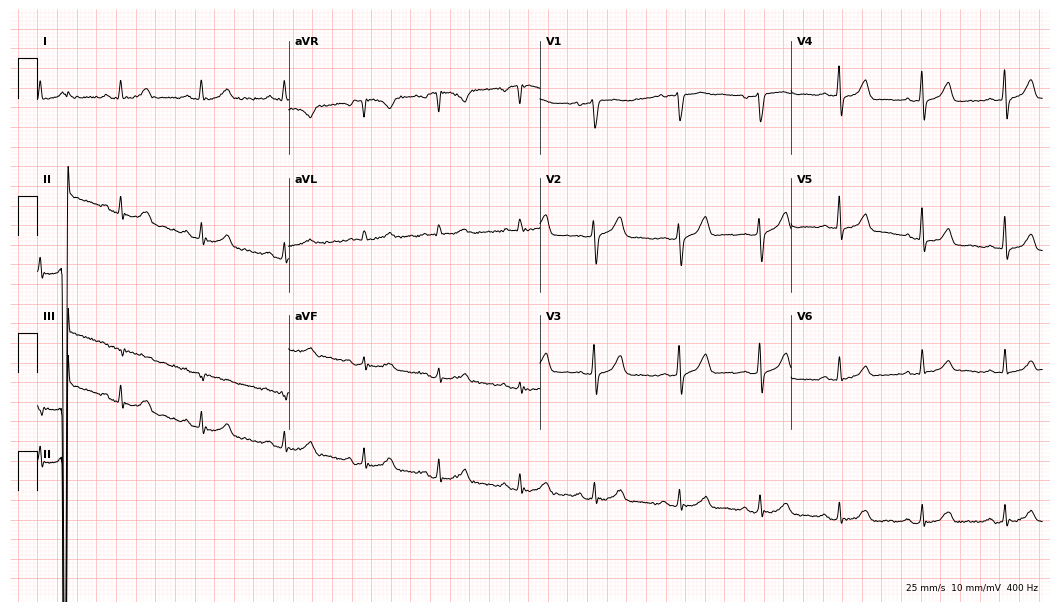
12-lead ECG from a 67-year-old male. No first-degree AV block, right bundle branch block, left bundle branch block, sinus bradycardia, atrial fibrillation or sinus tachycardia recorded for this tracing.